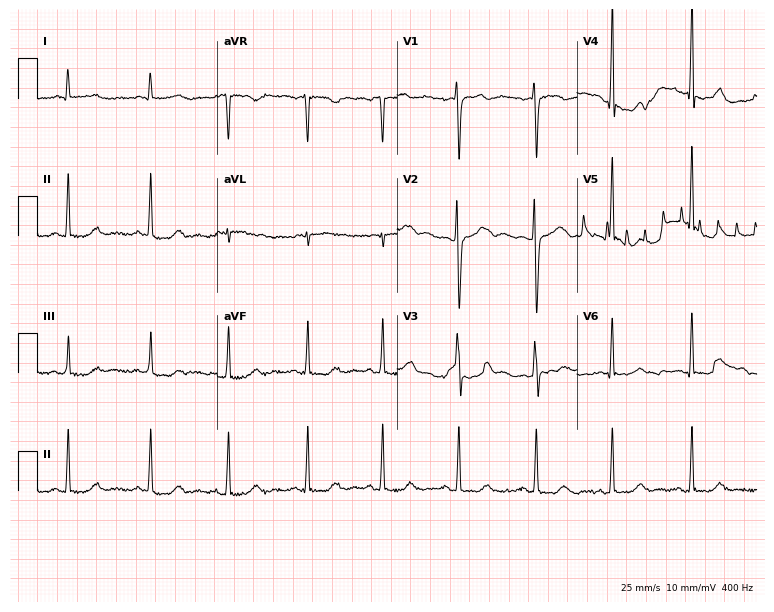
12-lead ECG from a 37-year-old female. Labelled as a normal ECG.